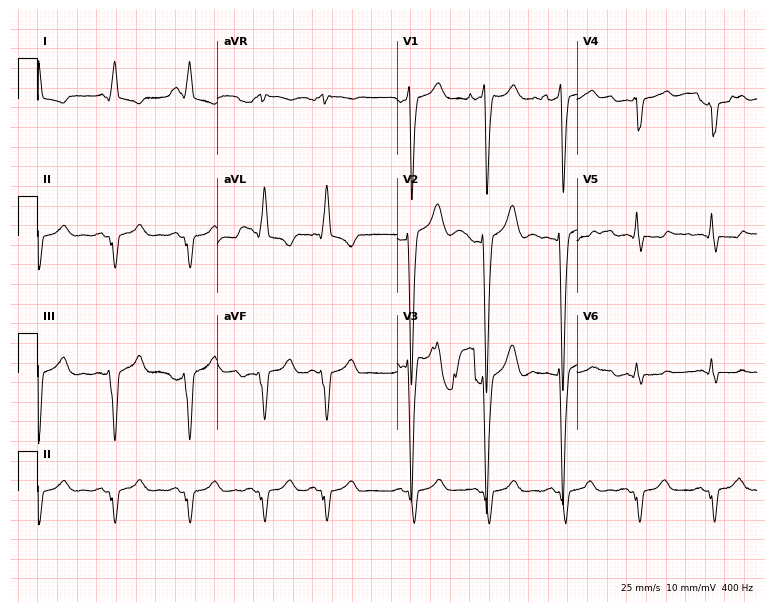
12-lead ECG from a female, 83 years old. Shows left bundle branch block.